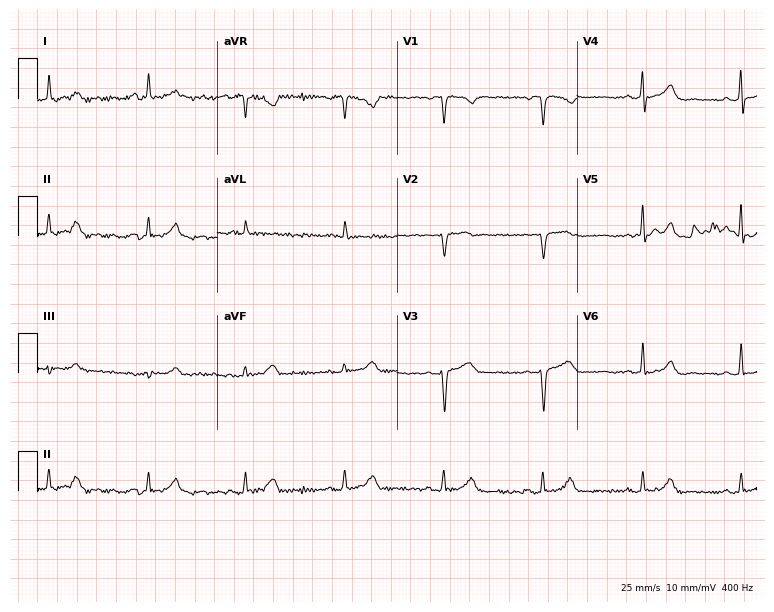
12-lead ECG (7.3-second recording at 400 Hz) from a 62-year-old woman. Screened for six findings — first-degree AV block, right bundle branch block, left bundle branch block, sinus bradycardia, atrial fibrillation, sinus tachycardia — none is recorded. Other findings, if any, are not listed.